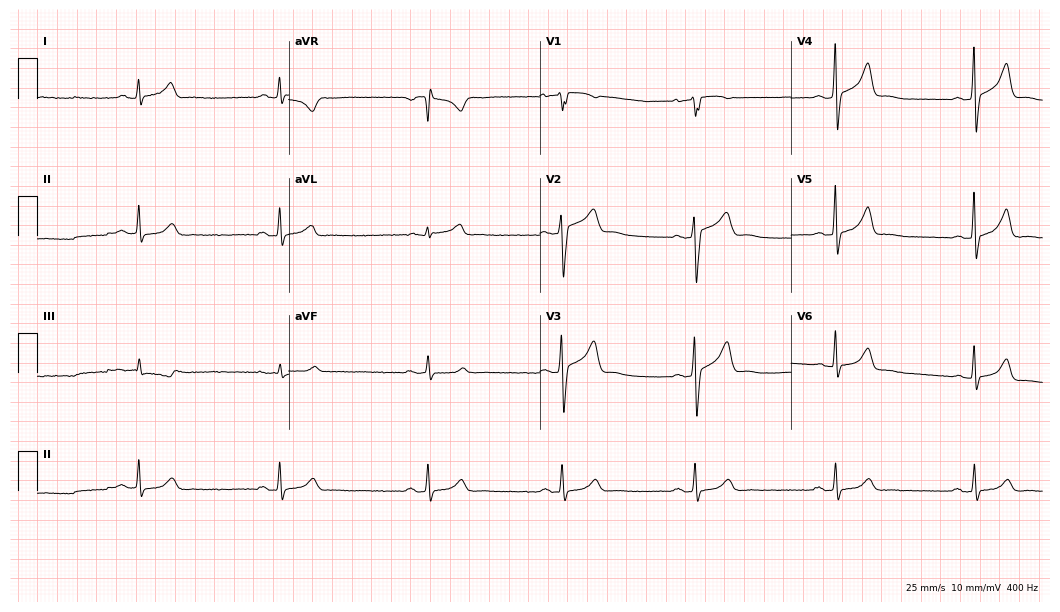
ECG (10.2-second recording at 400 Hz) — a 49-year-old male patient. Screened for six findings — first-degree AV block, right bundle branch block, left bundle branch block, sinus bradycardia, atrial fibrillation, sinus tachycardia — none is recorded.